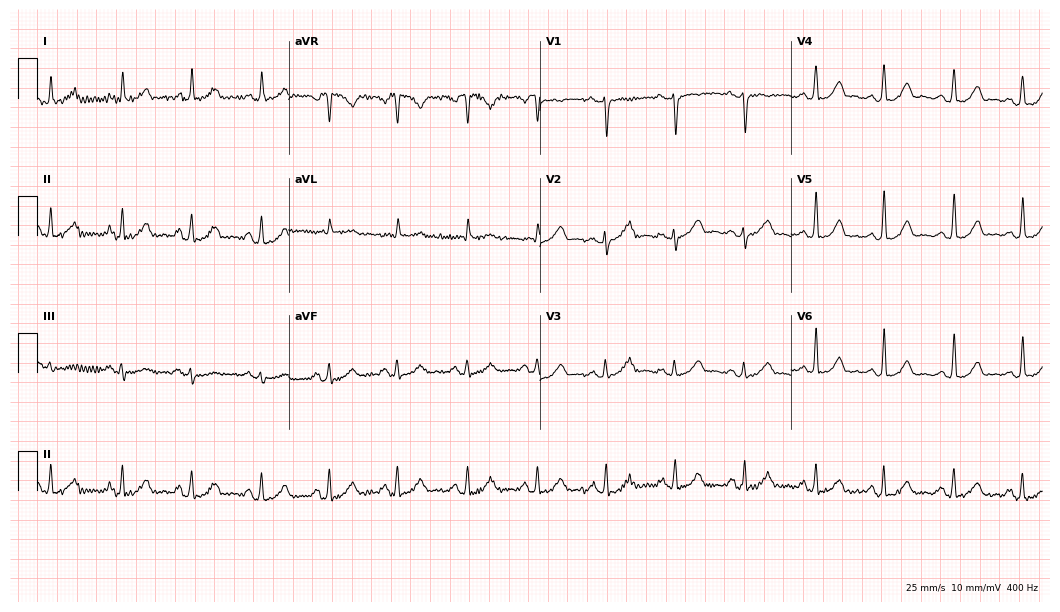
12-lead ECG (10.2-second recording at 400 Hz) from a woman, 28 years old. Labelled as a normal ECG.